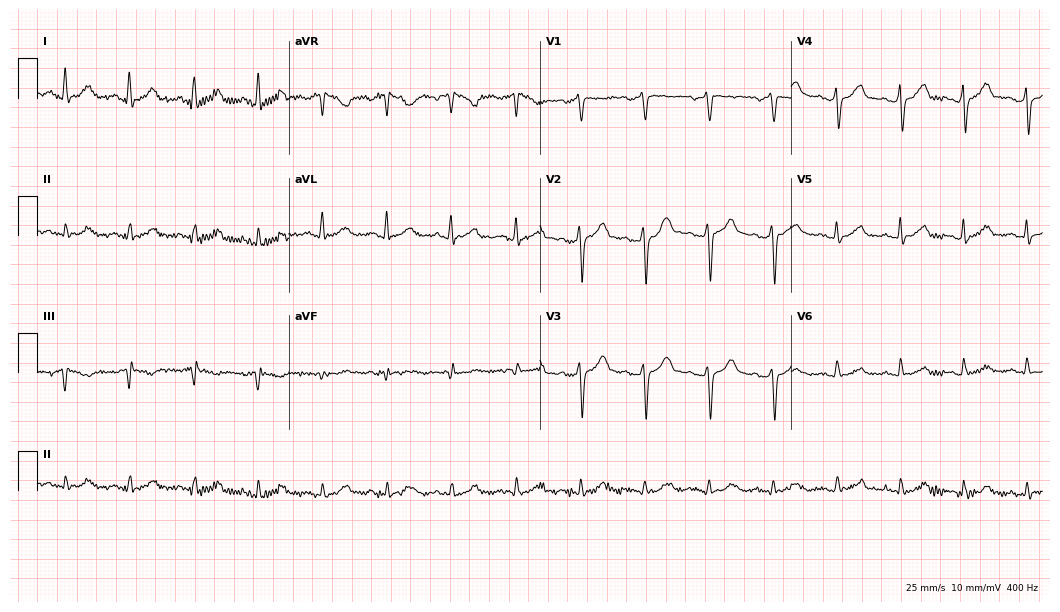
Resting 12-lead electrocardiogram. Patient: a 48-year-old male. Read as a normal ECG.